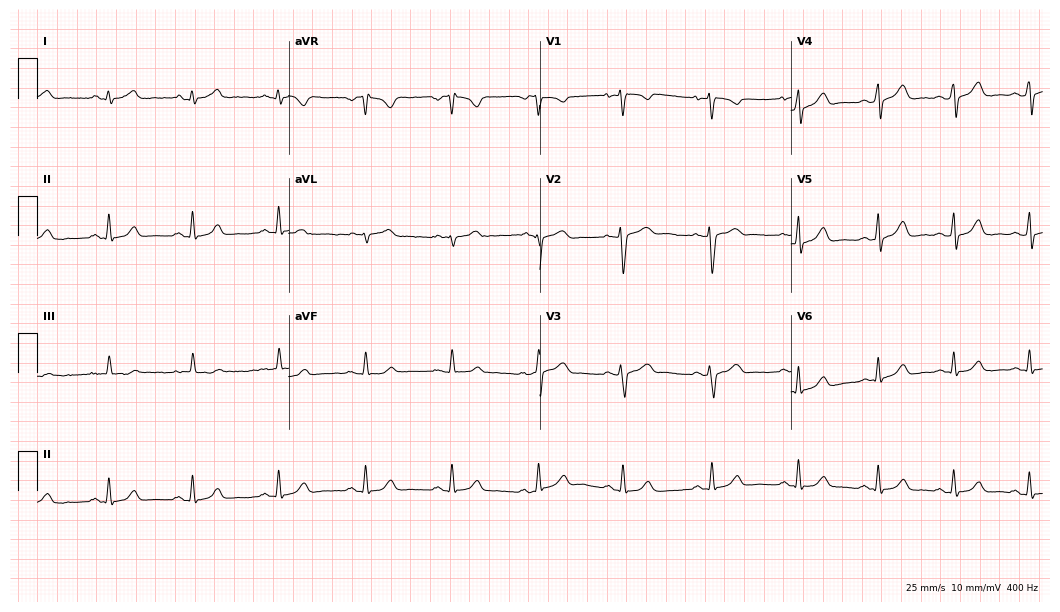
Standard 12-lead ECG recorded from a female patient, 31 years old. Read as a normal ECG.